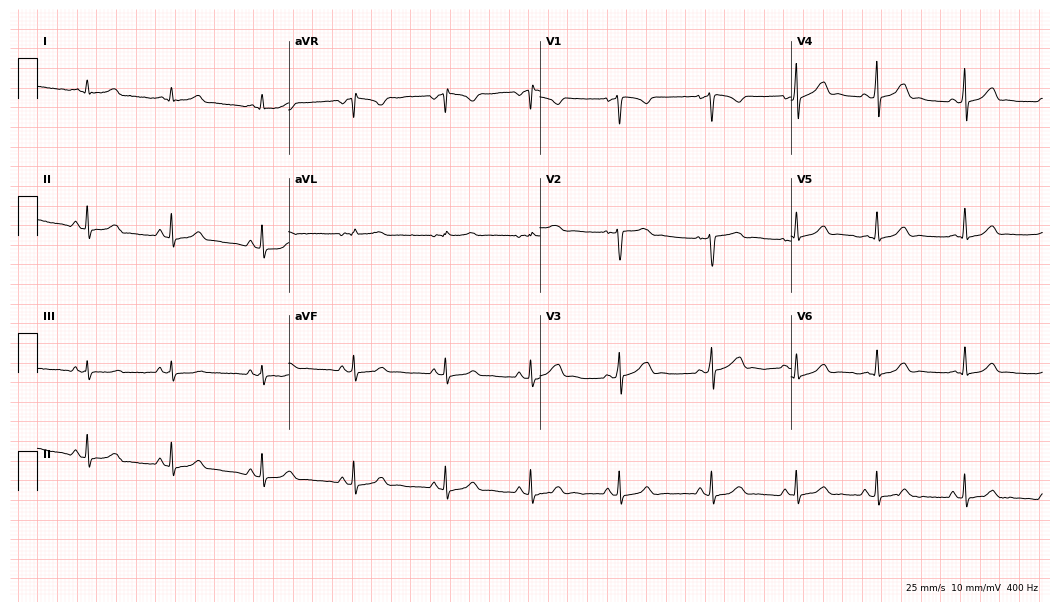
Electrocardiogram (10.2-second recording at 400 Hz), a female patient, 24 years old. Of the six screened findings (first-degree AV block, right bundle branch block, left bundle branch block, sinus bradycardia, atrial fibrillation, sinus tachycardia), none is recorded.